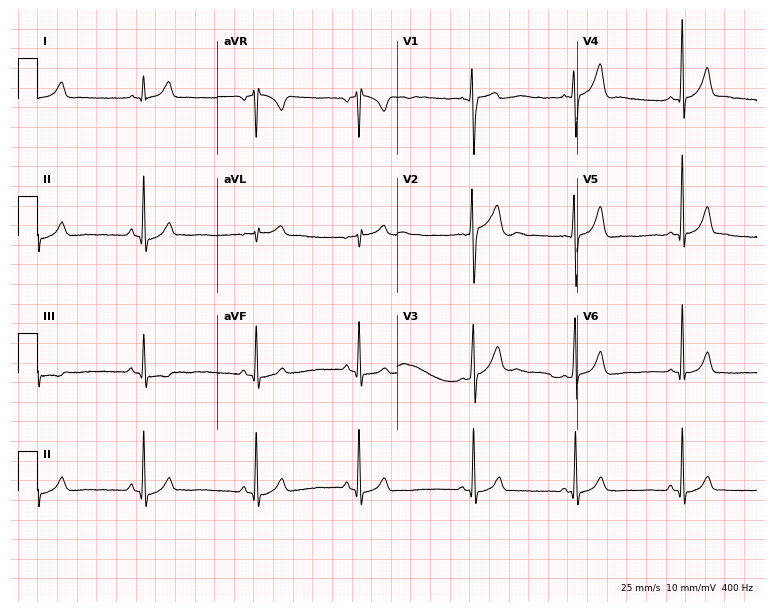
Electrocardiogram, a male patient, 21 years old. Of the six screened findings (first-degree AV block, right bundle branch block, left bundle branch block, sinus bradycardia, atrial fibrillation, sinus tachycardia), none is recorded.